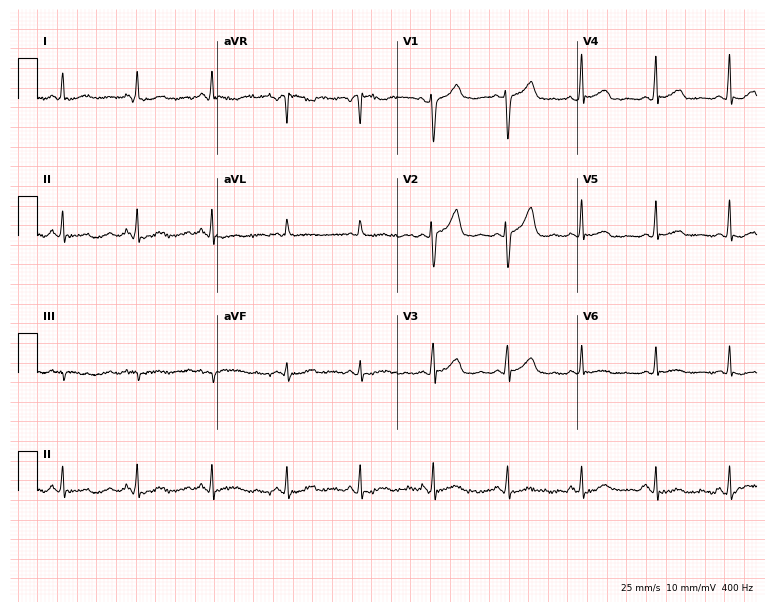
12-lead ECG from a woman, 48 years old (7.3-second recording at 400 Hz). No first-degree AV block, right bundle branch block (RBBB), left bundle branch block (LBBB), sinus bradycardia, atrial fibrillation (AF) or sinus tachycardia recorded for this tracing. Findings outside these six are not listed.